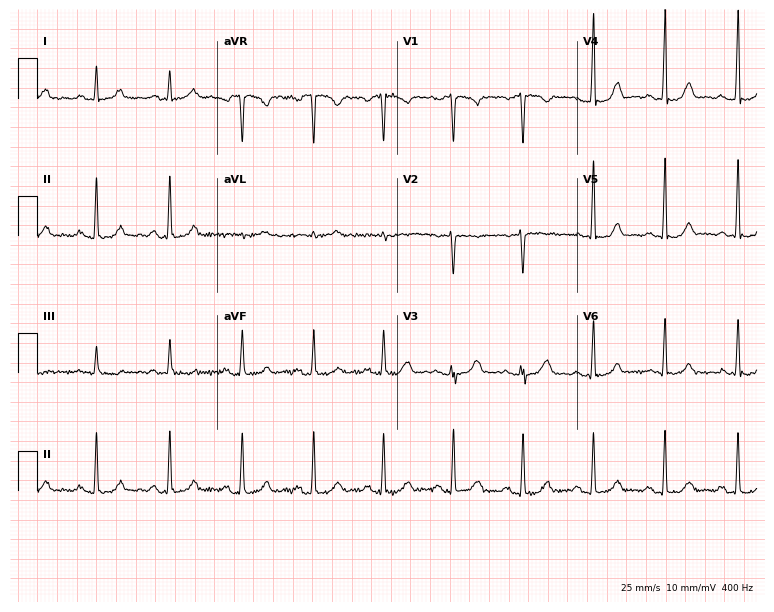
12-lead ECG from a 37-year-old woman. No first-degree AV block, right bundle branch block, left bundle branch block, sinus bradycardia, atrial fibrillation or sinus tachycardia recorded for this tracing. Findings outside these six are not listed.